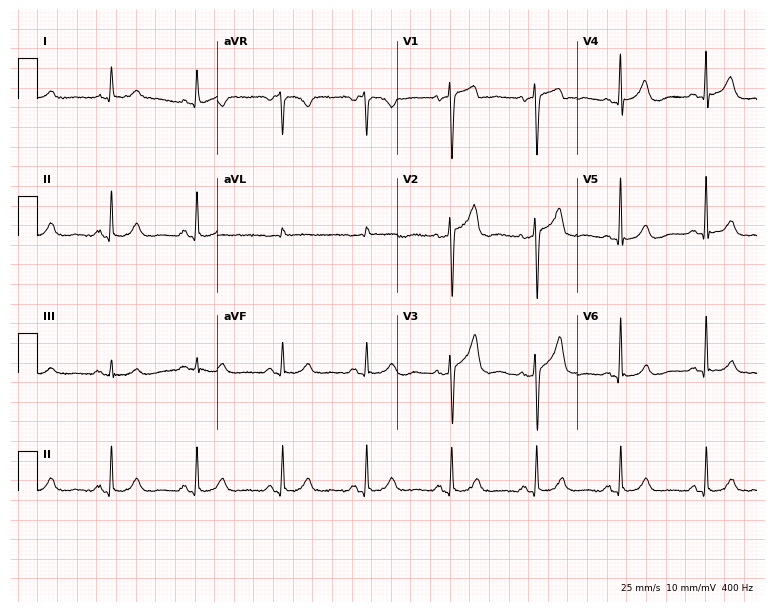
Resting 12-lead electrocardiogram. Patient: a male, 74 years old. Read as a normal ECG.